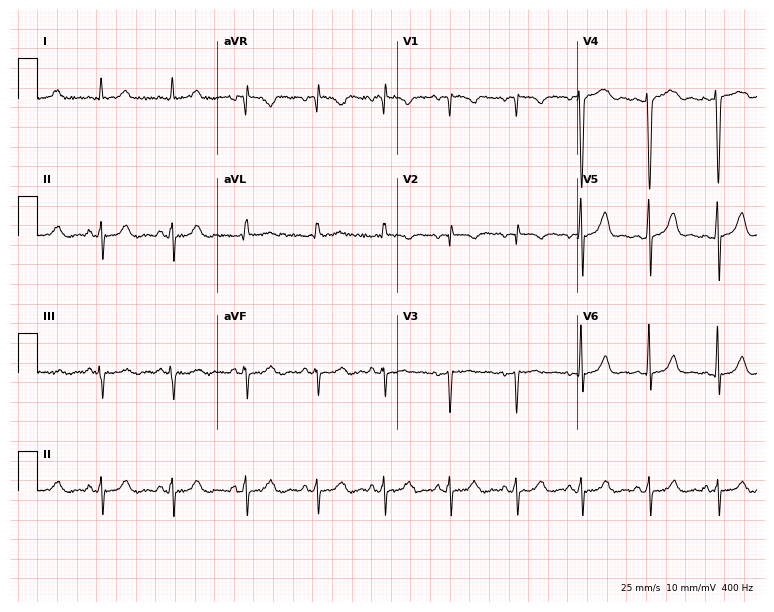
Standard 12-lead ECG recorded from a 37-year-old woman. None of these six findings is recorded: first-degree AV block, right bundle branch block, left bundle branch block, sinus bradycardia, atrial fibrillation, sinus tachycardia.